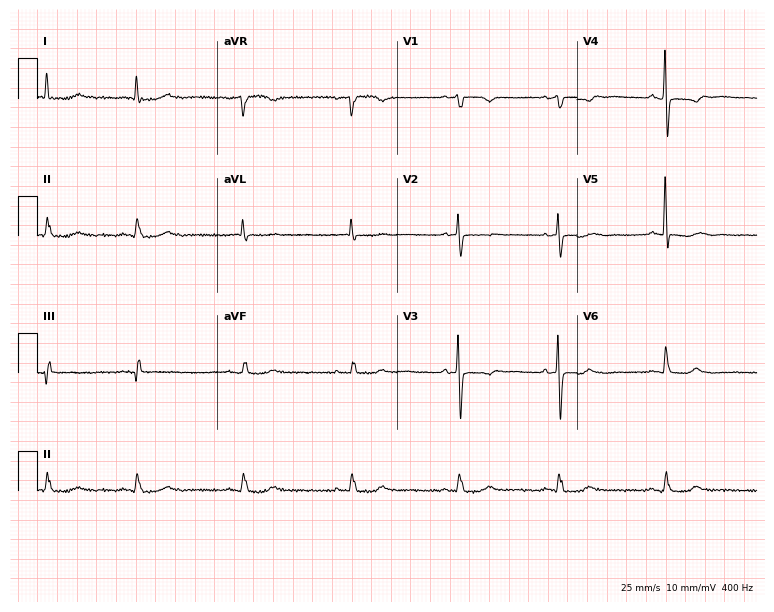
Resting 12-lead electrocardiogram (7.3-second recording at 400 Hz). Patient: an 81-year-old female. None of these six findings is recorded: first-degree AV block, right bundle branch block (RBBB), left bundle branch block (LBBB), sinus bradycardia, atrial fibrillation (AF), sinus tachycardia.